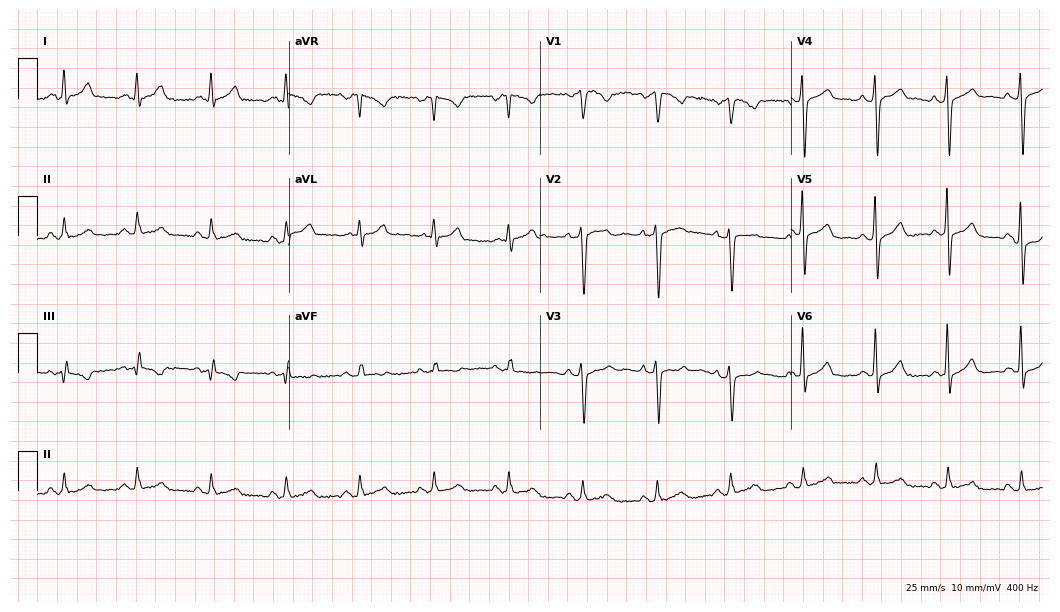
12-lead ECG from a male patient, 60 years old (10.2-second recording at 400 Hz). Recorded interpretation: within normal limits.